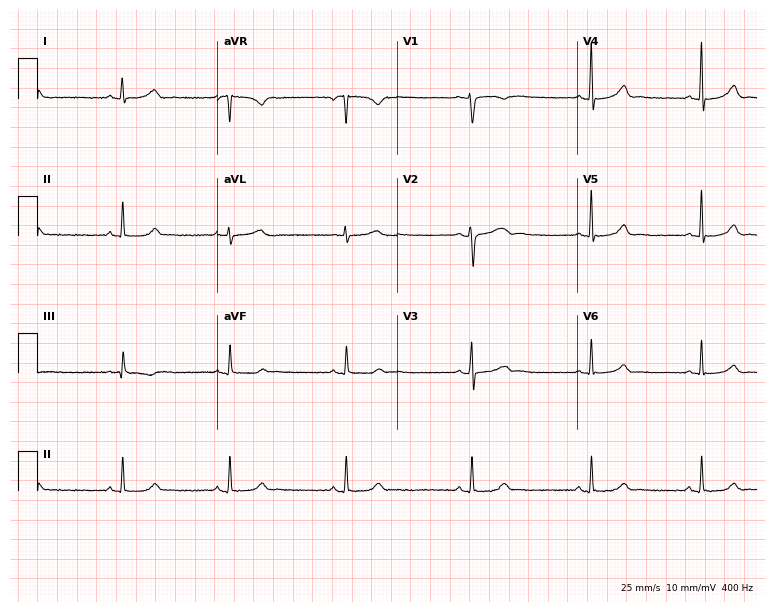
Resting 12-lead electrocardiogram (7.3-second recording at 400 Hz). Patient: a 31-year-old woman. Read as a normal ECG.